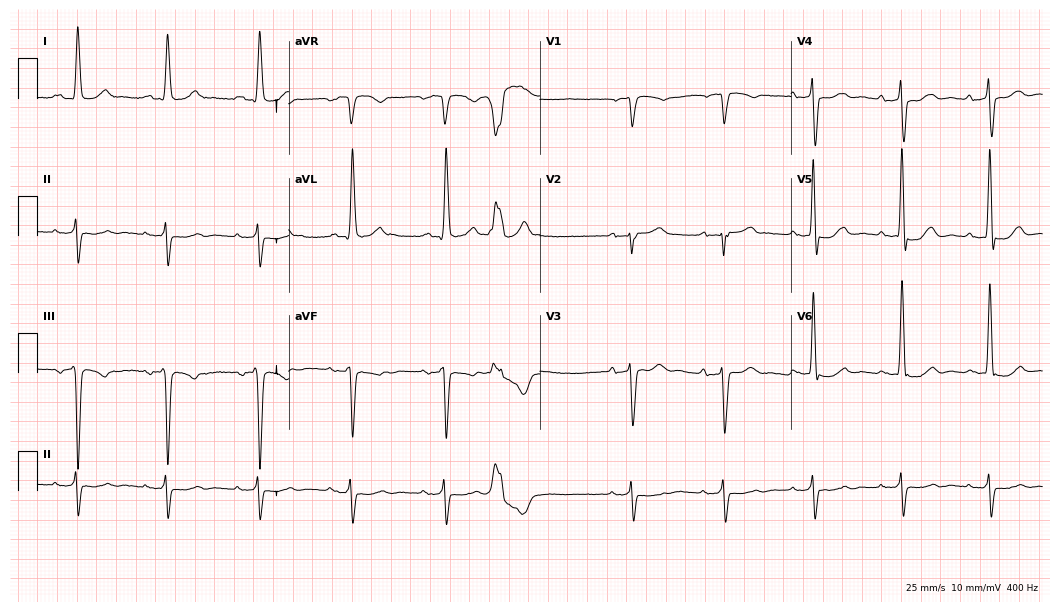
Standard 12-lead ECG recorded from an 81-year-old male. None of these six findings is recorded: first-degree AV block, right bundle branch block, left bundle branch block, sinus bradycardia, atrial fibrillation, sinus tachycardia. Other findings, if any, are not listed.